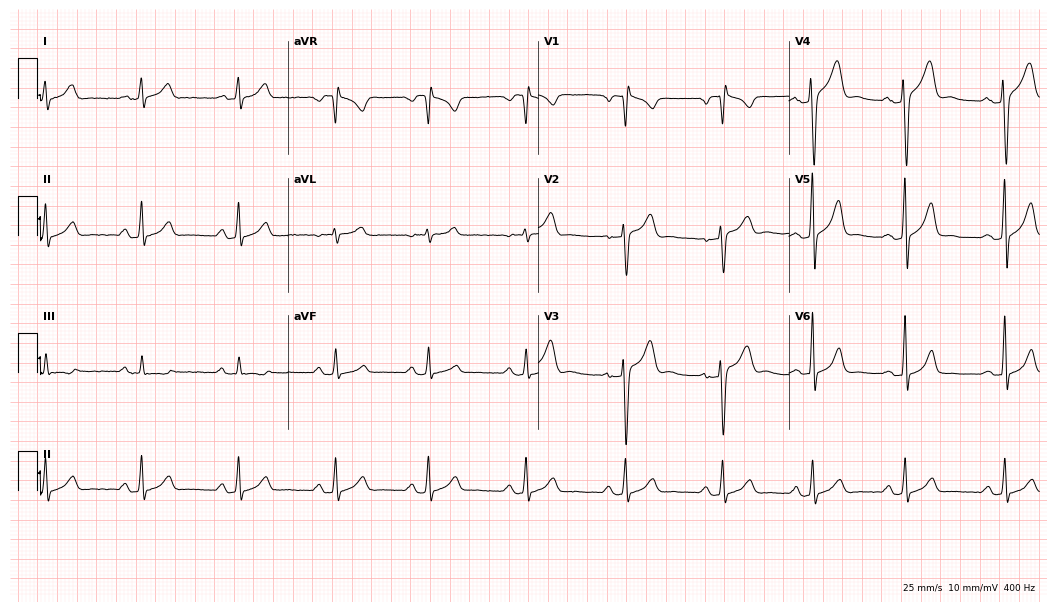
Resting 12-lead electrocardiogram (10.2-second recording at 400 Hz). Patient: a 35-year-old male. None of these six findings is recorded: first-degree AV block, right bundle branch block, left bundle branch block, sinus bradycardia, atrial fibrillation, sinus tachycardia.